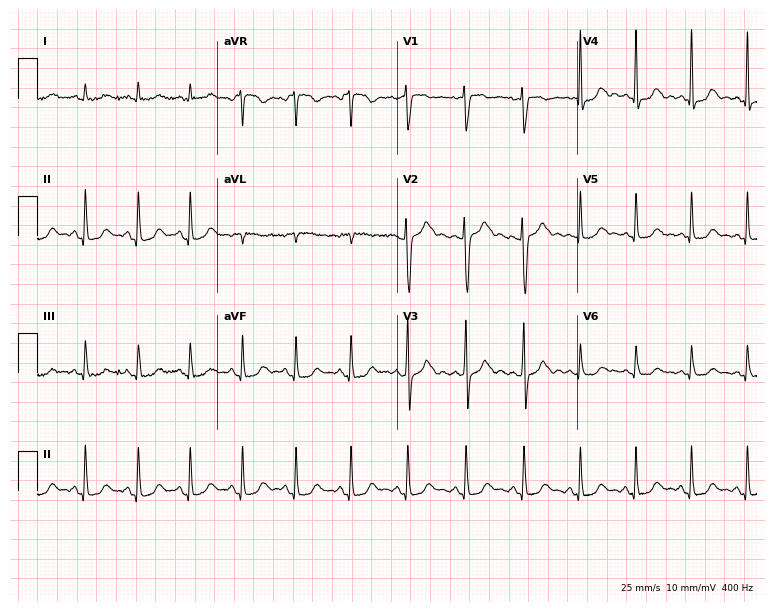
Resting 12-lead electrocardiogram. Patient: a 54-year-old female. The tracing shows sinus tachycardia (a sinus rate of 100 beats per minute or more).